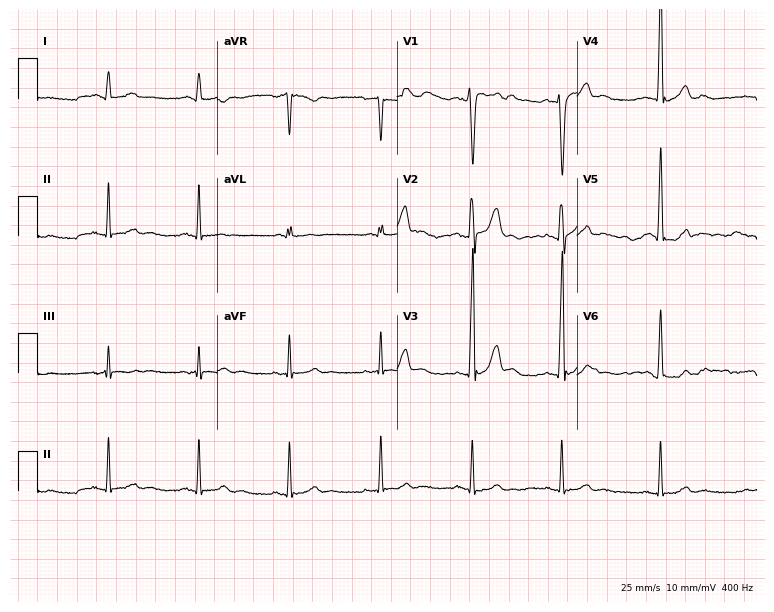
ECG — a man, 31 years old. Screened for six findings — first-degree AV block, right bundle branch block, left bundle branch block, sinus bradycardia, atrial fibrillation, sinus tachycardia — none is recorded.